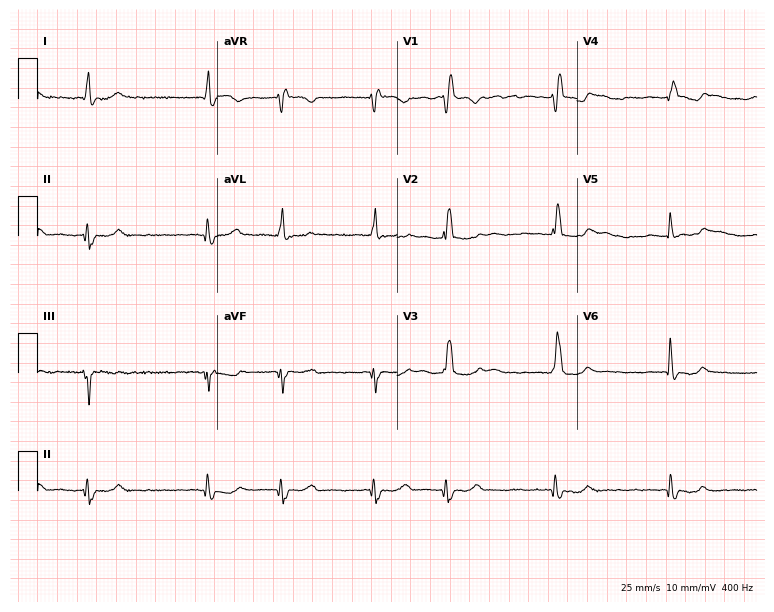
ECG — a female patient, 70 years old. Findings include right bundle branch block, atrial fibrillation.